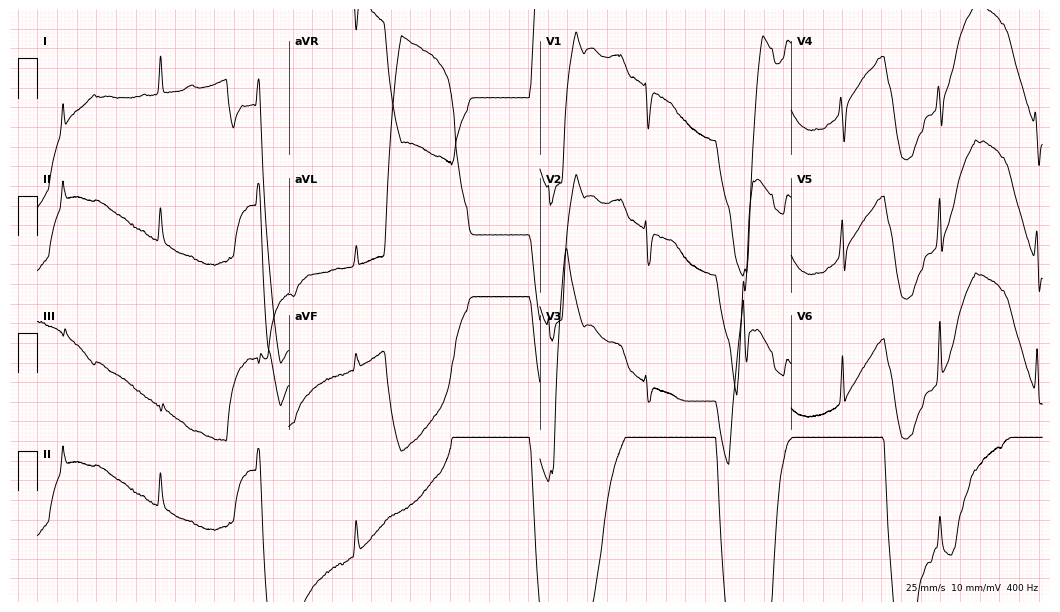
ECG — a woman, 56 years old. Screened for six findings — first-degree AV block, right bundle branch block (RBBB), left bundle branch block (LBBB), sinus bradycardia, atrial fibrillation (AF), sinus tachycardia — none is recorded. Findings outside these six are not listed.